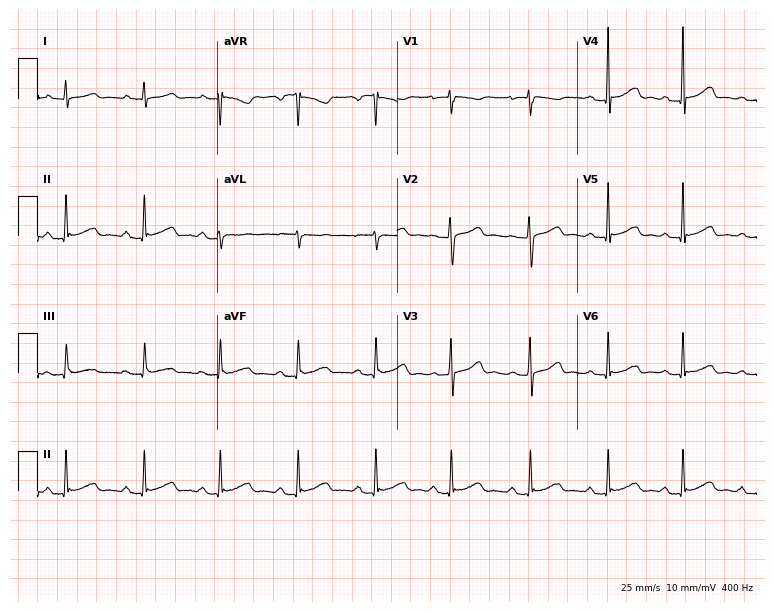
Standard 12-lead ECG recorded from a female, 28 years old (7.3-second recording at 400 Hz). None of these six findings is recorded: first-degree AV block, right bundle branch block, left bundle branch block, sinus bradycardia, atrial fibrillation, sinus tachycardia.